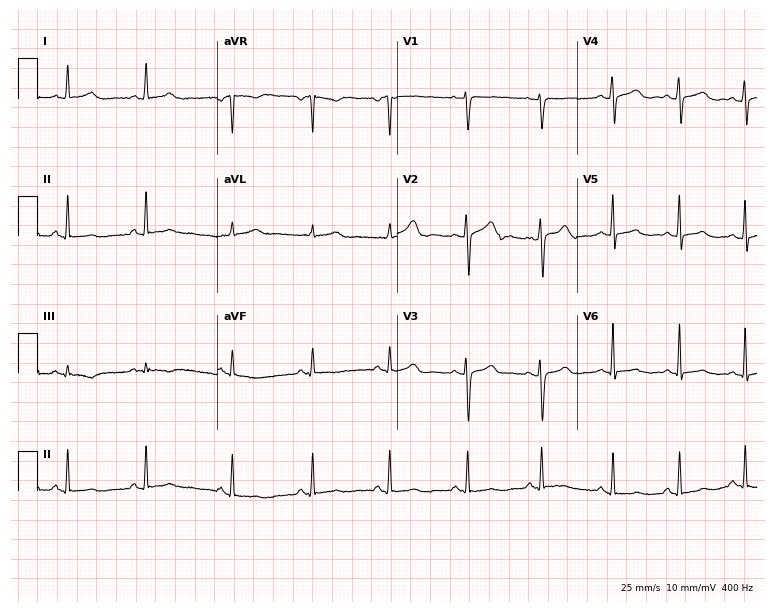
Standard 12-lead ECG recorded from a 33-year-old woman. Read as a normal ECG.